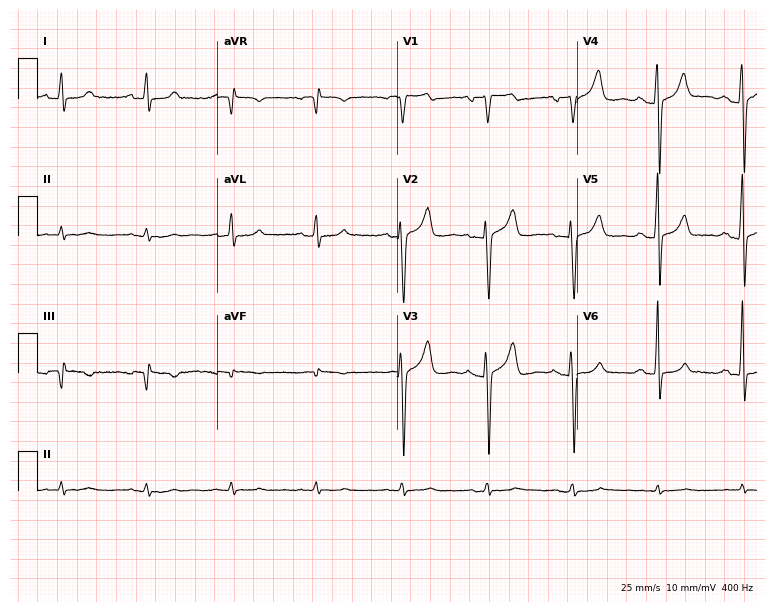
Electrocardiogram (7.3-second recording at 400 Hz), a male, 35 years old. Of the six screened findings (first-degree AV block, right bundle branch block (RBBB), left bundle branch block (LBBB), sinus bradycardia, atrial fibrillation (AF), sinus tachycardia), none is recorded.